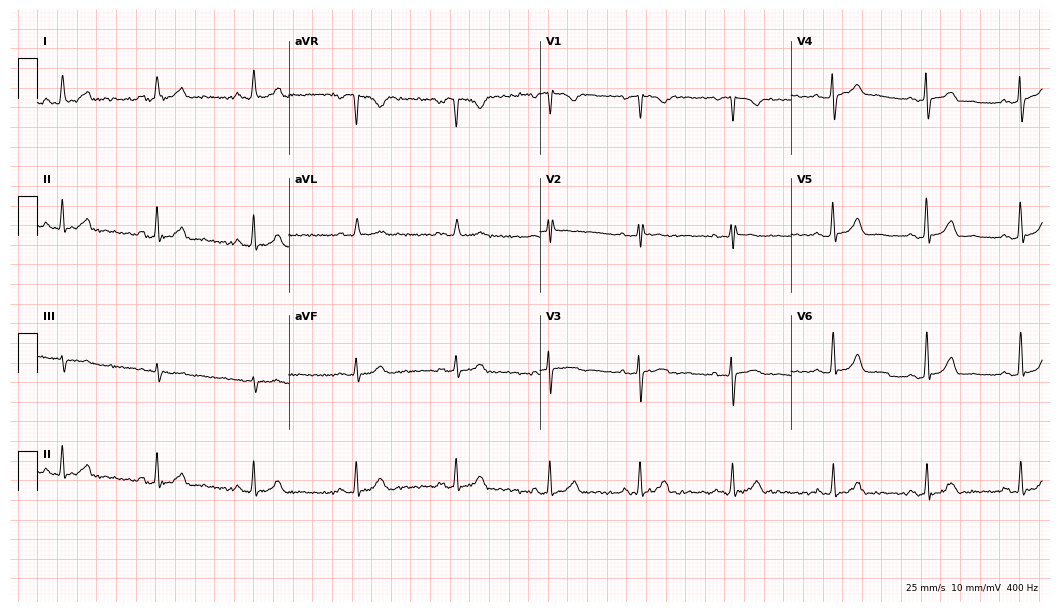
ECG (10.2-second recording at 400 Hz) — a 32-year-old female. Screened for six findings — first-degree AV block, right bundle branch block, left bundle branch block, sinus bradycardia, atrial fibrillation, sinus tachycardia — none is recorded. Findings outside these six are not listed.